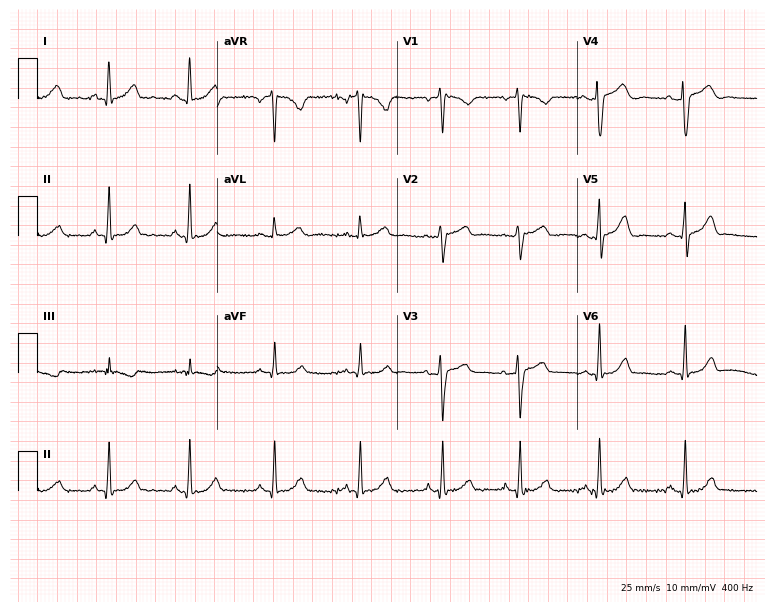
Standard 12-lead ECG recorded from a female patient, 38 years old (7.3-second recording at 400 Hz). Read as a normal ECG.